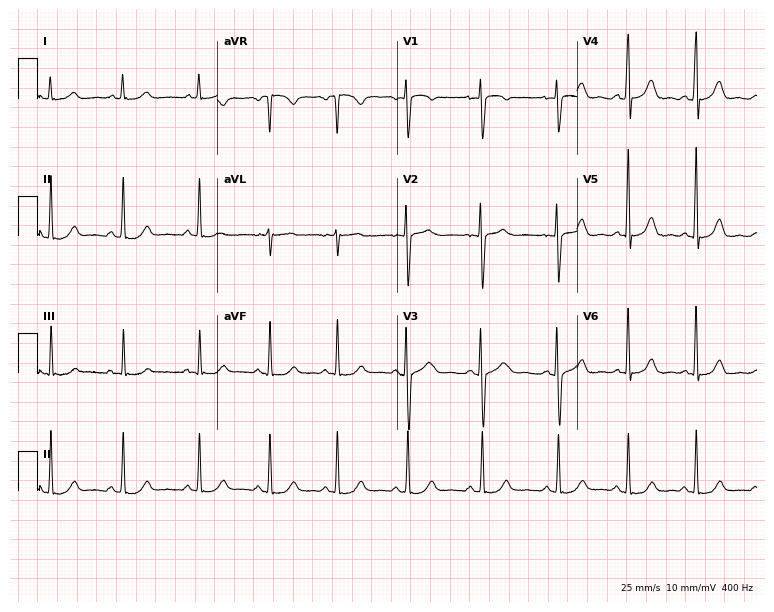
ECG (7.3-second recording at 400 Hz) — a 29-year-old female. Labelled as a normal ECG.